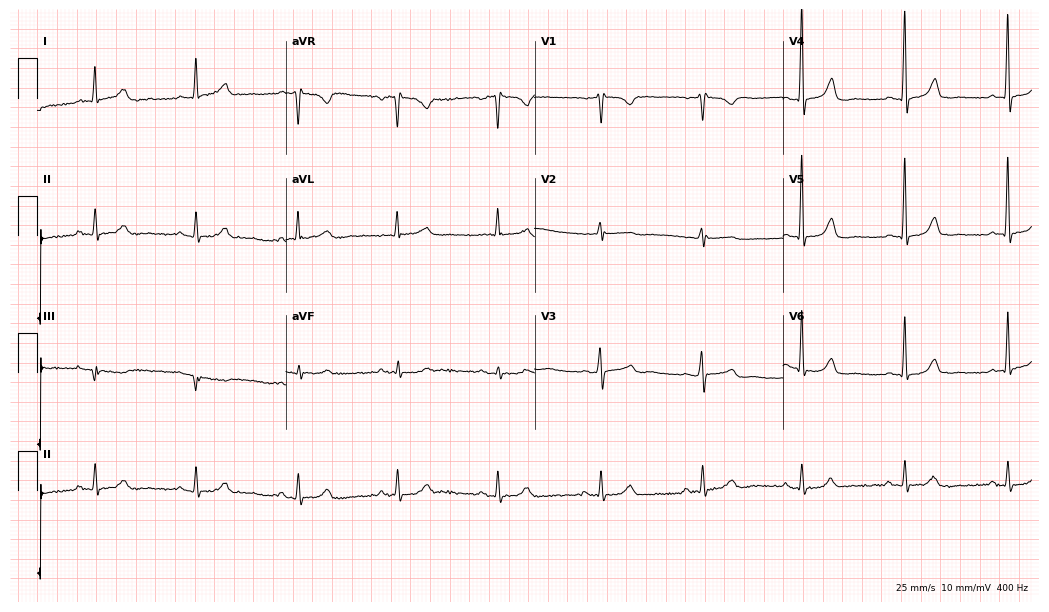
Standard 12-lead ECG recorded from a female, 57 years old (10.1-second recording at 400 Hz). None of these six findings is recorded: first-degree AV block, right bundle branch block, left bundle branch block, sinus bradycardia, atrial fibrillation, sinus tachycardia.